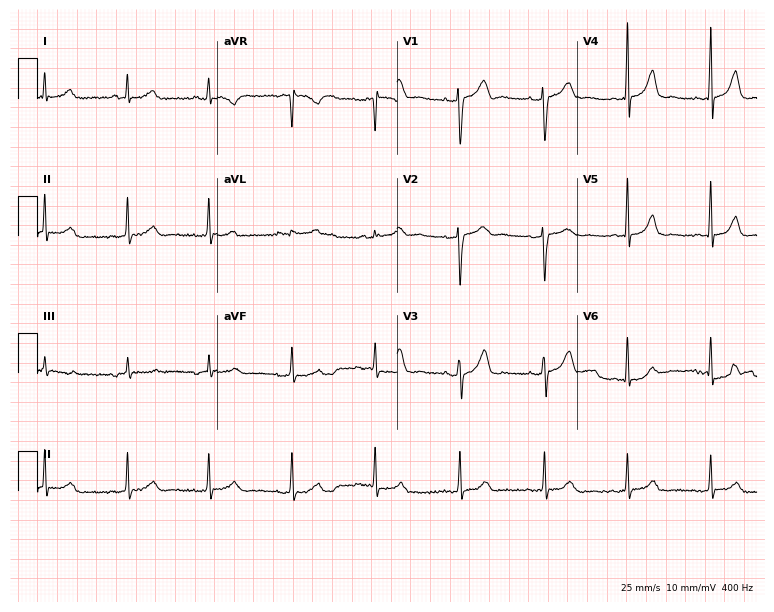
Electrocardiogram (7.3-second recording at 400 Hz), a female patient, 46 years old. Overall reading on record: normal ECG.